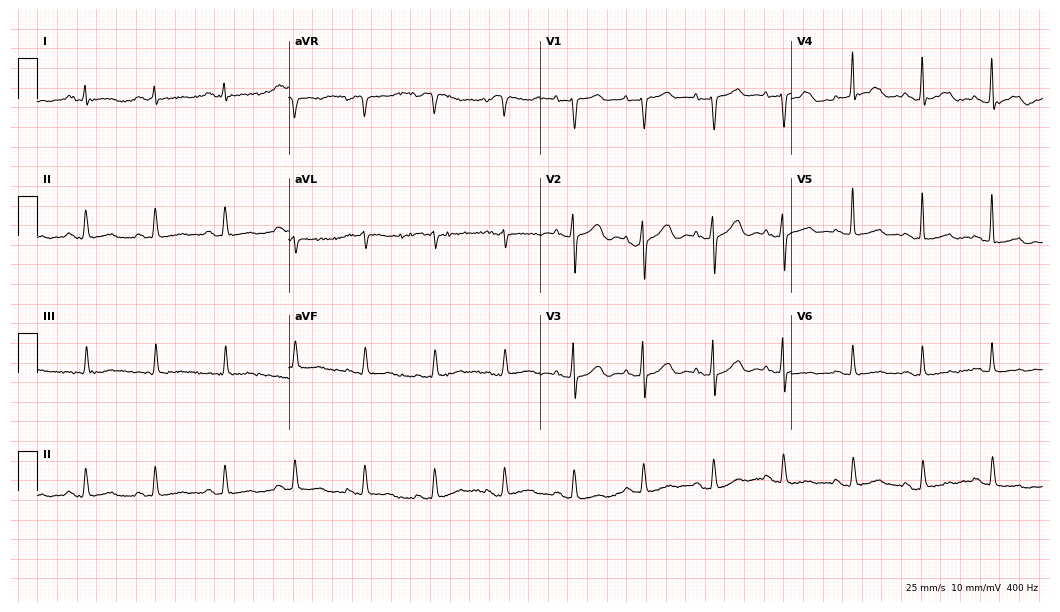
Standard 12-lead ECG recorded from a 72-year-old female patient (10.2-second recording at 400 Hz). Read as a normal ECG.